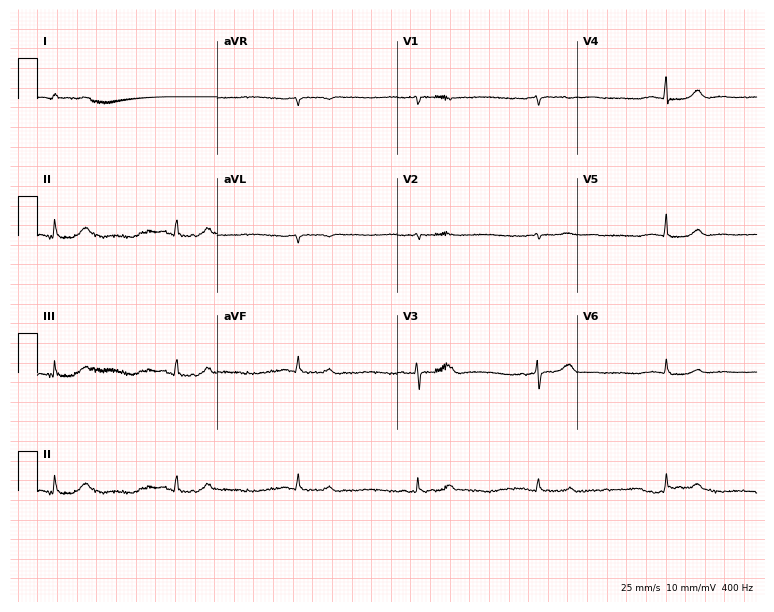
12-lead ECG (7.3-second recording at 400 Hz) from an 84-year-old female. Screened for six findings — first-degree AV block, right bundle branch block, left bundle branch block, sinus bradycardia, atrial fibrillation, sinus tachycardia — none is recorded. Only these six findings were labelled.